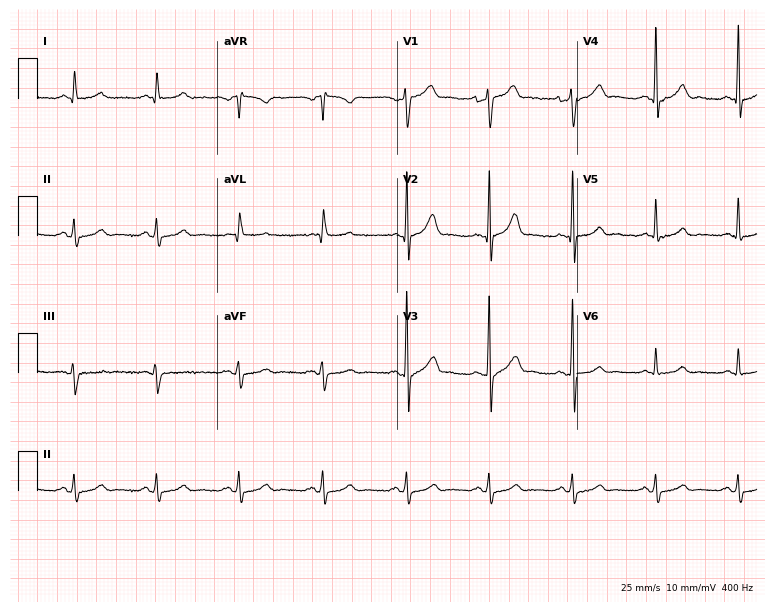
12-lead ECG from a 40-year-old man. Screened for six findings — first-degree AV block, right bundle branch block, left bundle branch block, sinus bradycardia, atrial fibrillation, sinus tachycardia — none is recorded.